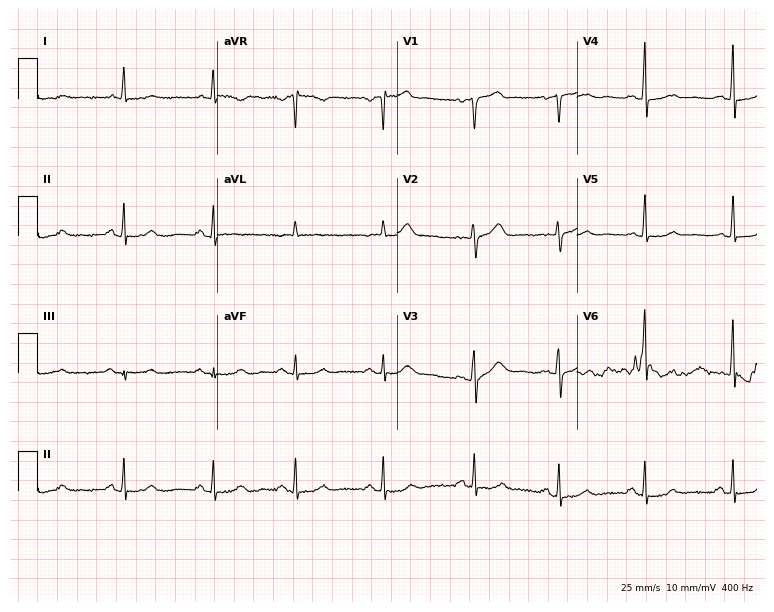
ECG (7.3-second recording at 400 Hz) — a woman, 63 years old. Labelled as a normal ECG.